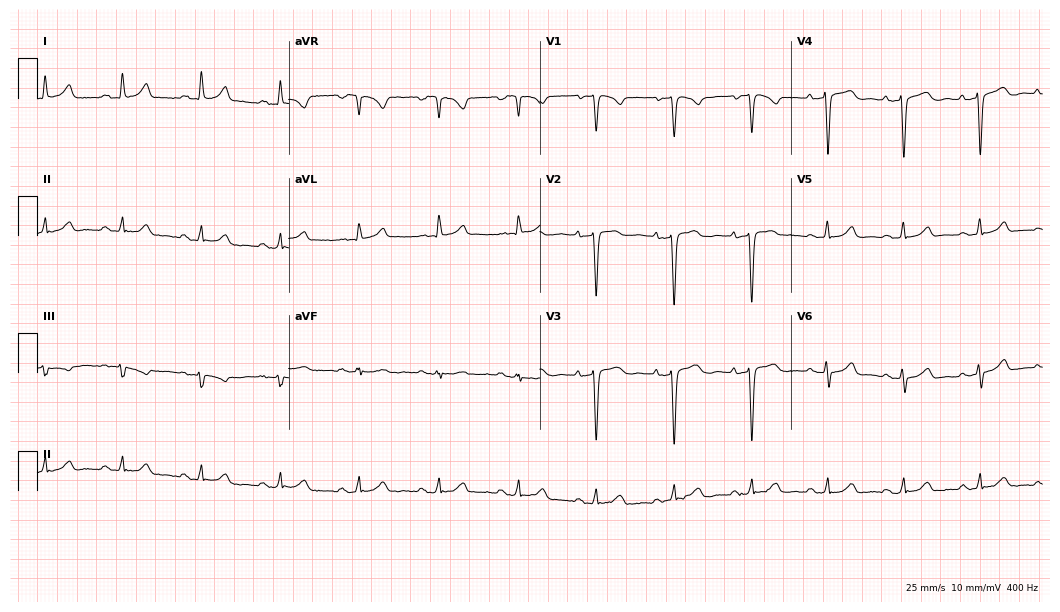
Resting 12-lead electrocardiogram (10.2-second recording at 400 Hz). Patient: a 44-year-old female. Read as a normal ECG.